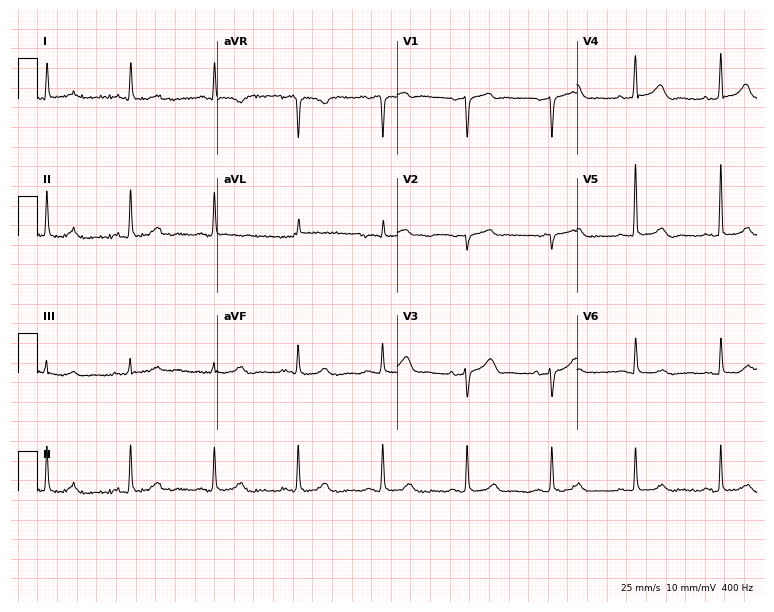
12-lead ECG (7.3-second recording at 400 Hz) from a female, 73 years old. Labelled as a normal ECG.